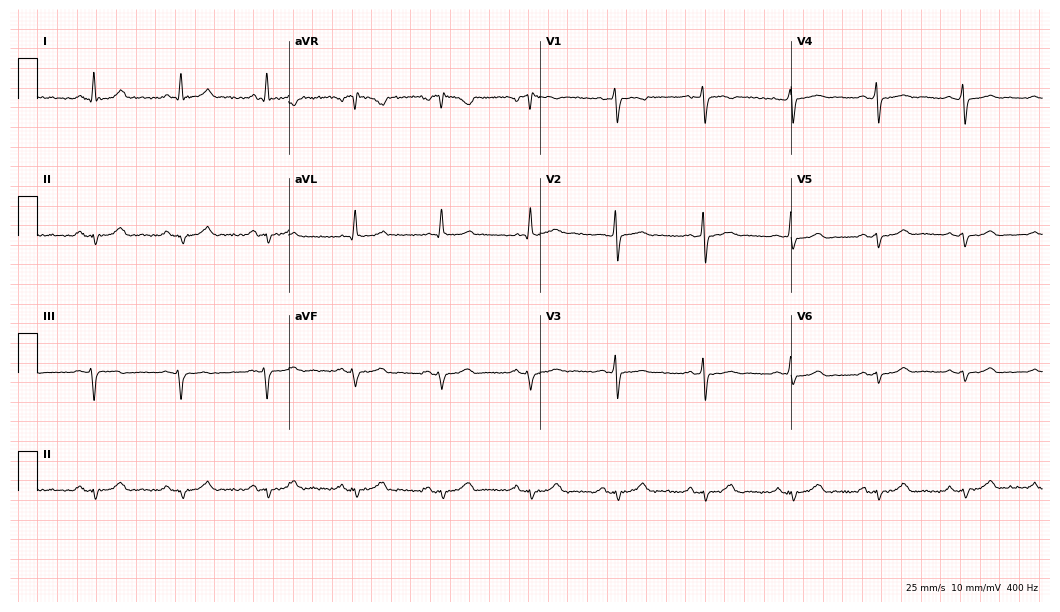
ECG — a female, 53 years old. Screened for six findings — first-degree AV block, right bundle branch block, left bundle branch block, sinus bradycardia, atrial fibrillation, sinus tachycardia — none is recorded. Other findings, if any, are not listed.